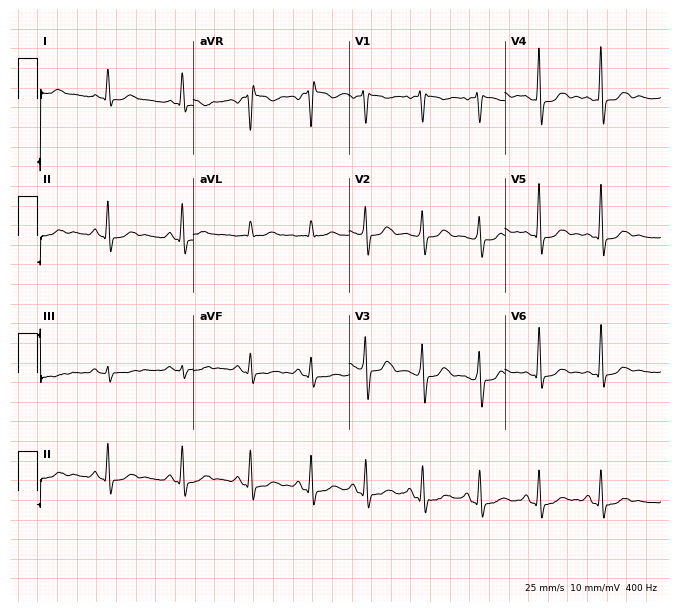
ECG — a 35-year-old woman. Screened for six findings — first-degree AV block, right bundle branch block (RBBB), left bundle branch block (LBBB), sinus bradycardia, atrial fibrillation (AF), sinus tachycardia — none is recorded.